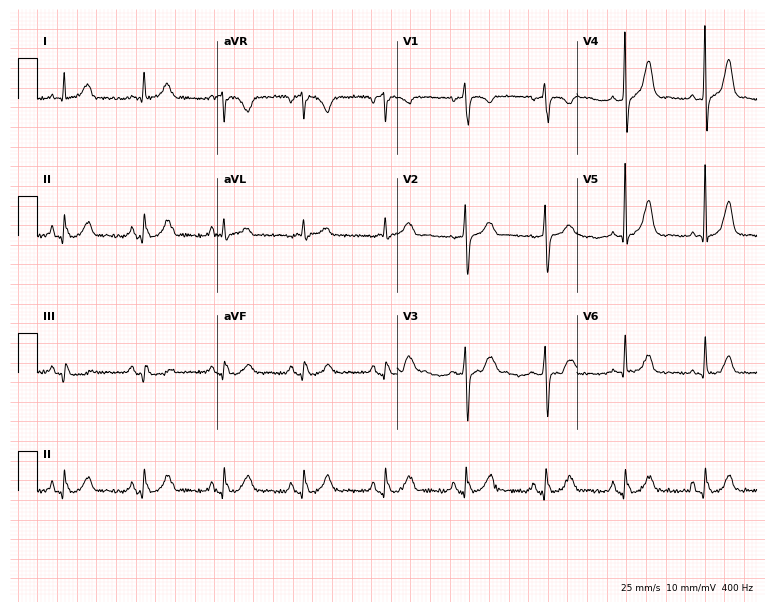
Standard 12-lead ECG recorded from a 70-year-old woman. Read as a normal ECG.